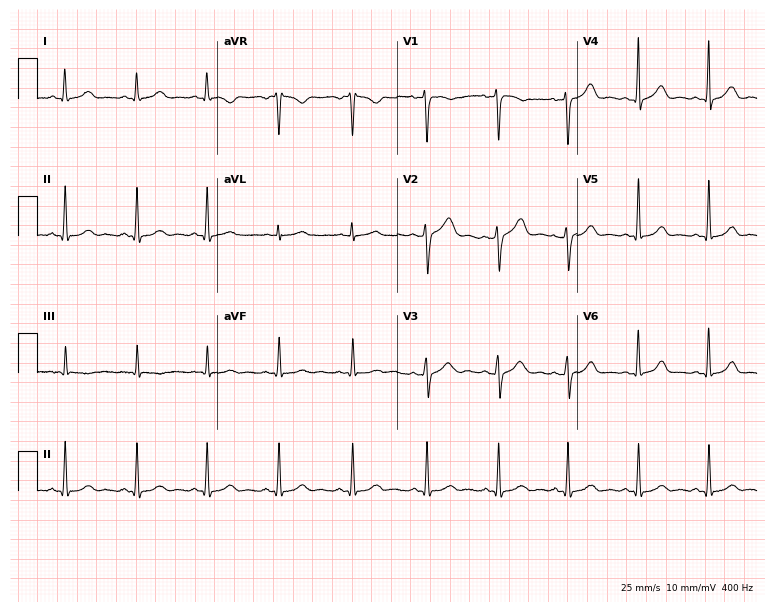
ECG — a 26-year-old female patient. Labelled as a normal ECG.